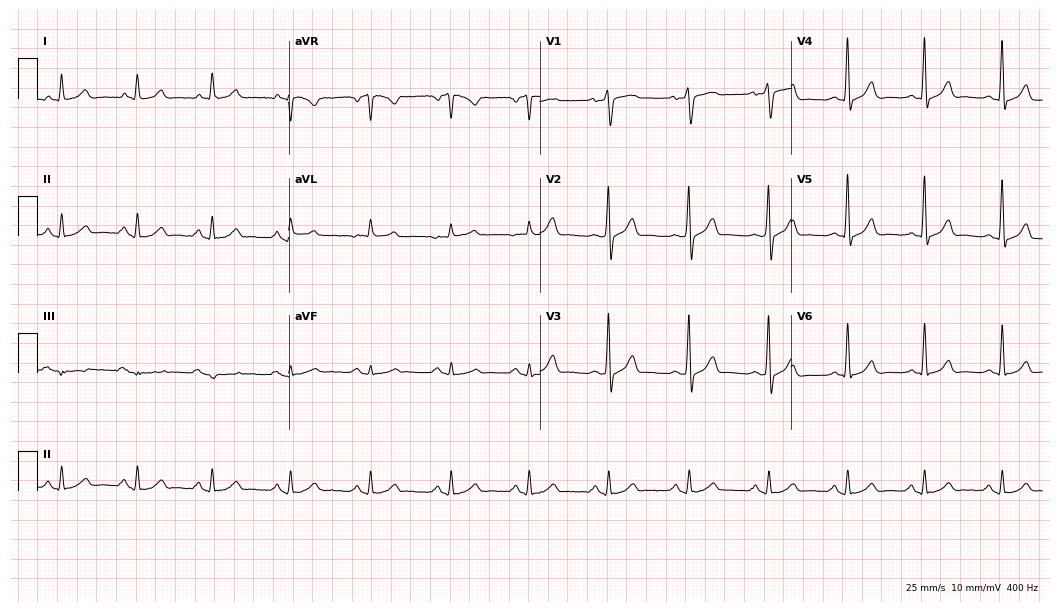
Standard 12-lead ECG recorded from a male, 59 years old (10.2-second recording at 400 Hz). Read as a normal ECG.